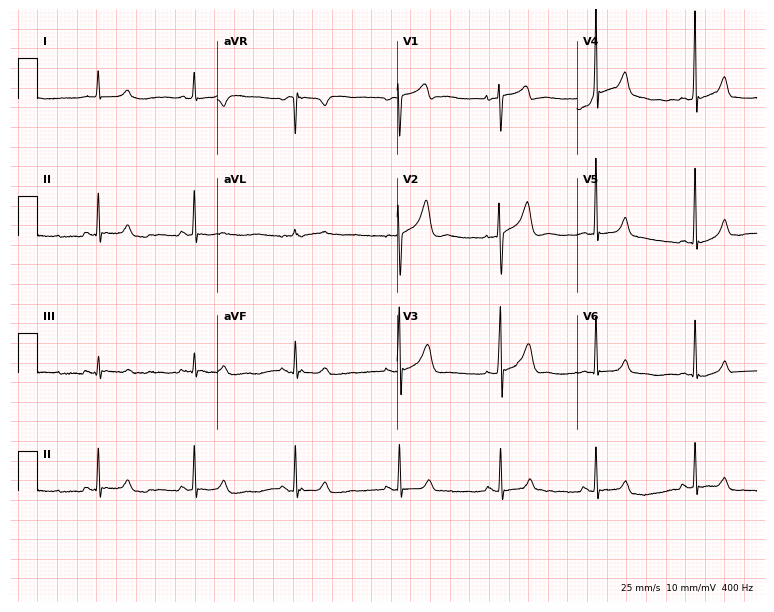
Resting 12-lead electrocardiogram (7.3-second recording at 400 Hz). Patient: a 28-year-old male. None of these six findings is recorded: first-degree AV block, right bundle branch block (RBBB), left bundle branch block (LBBB), sinus bradycardia, atrial fibrillation (AF), sinus tachycardia. Other findings, if any, are not listed.